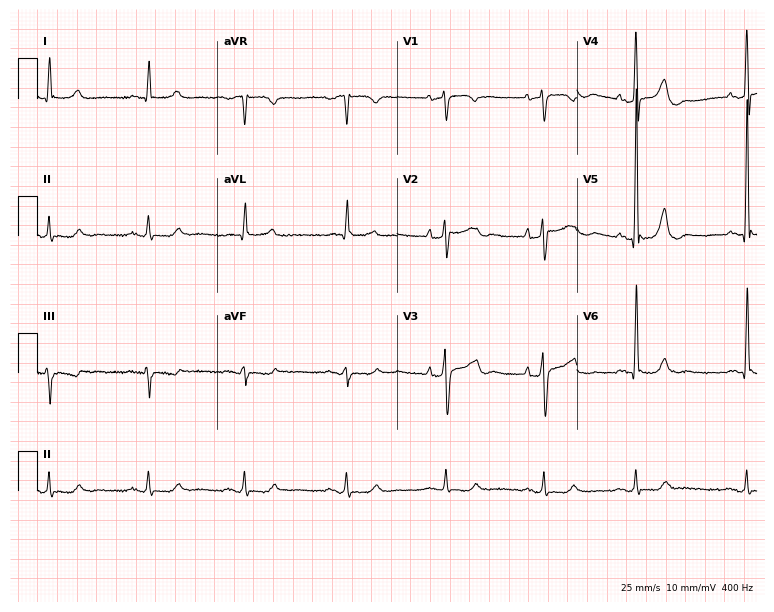
12-lead ECG from a 67-year-old male patient. No first-degree AV block, right bundle branch block, left bundle branch block, sinus bradycardia, atrial fibrillation or sinus tachycardia recorded for this tracing. Other findings, if any, are not listed.